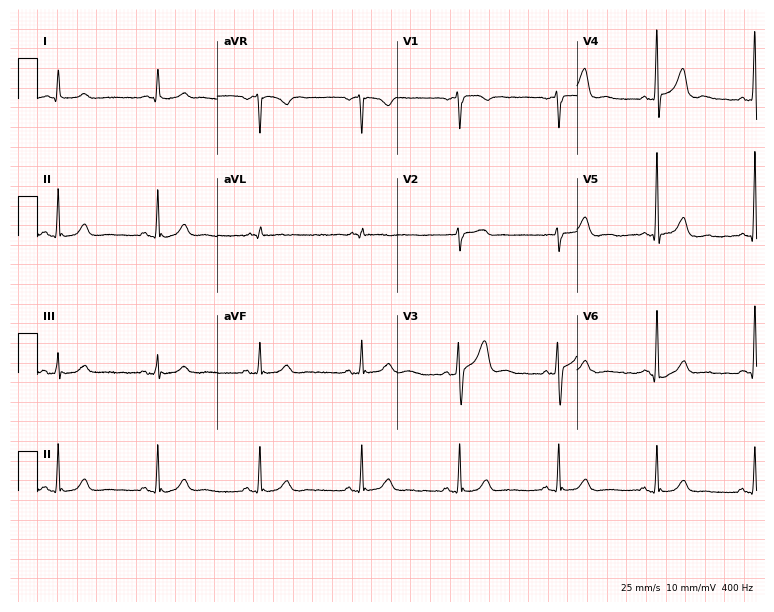
Standard 12-lead ECG recorded from a 73-year-old man (7.3-second recording at 400 Hz). Read as a normal ECG.